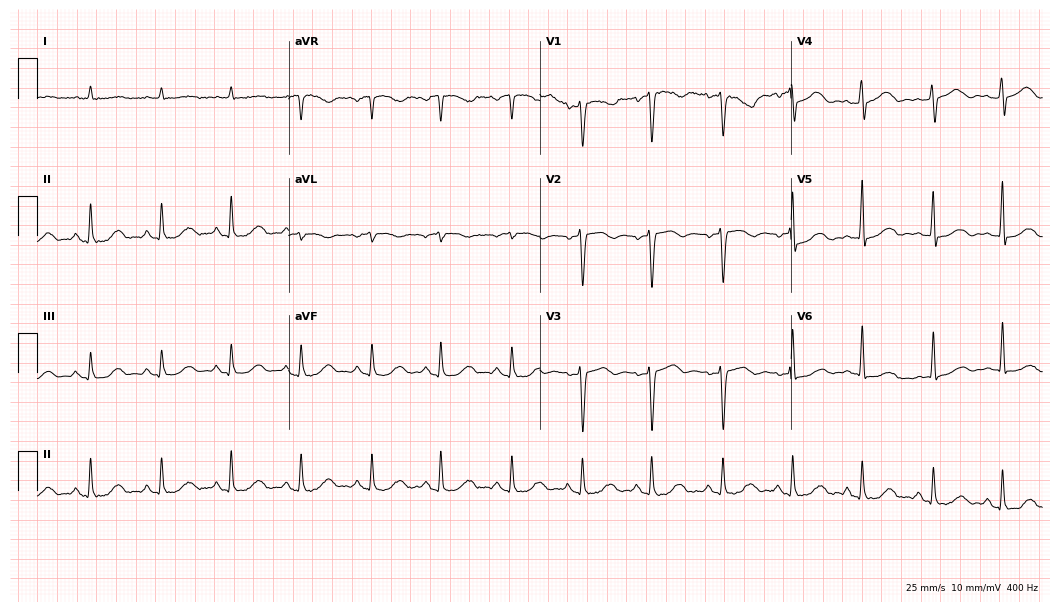
Standard 12-lead ECG recorded from an 85-year-old male patient. None of these six findings is recorded: first-degree AV block, right bundle branch block, left bundle branch block, sinus bradycardia, atrial fibrillation, sinus tachycardia. Other findings, if any, are not listed.